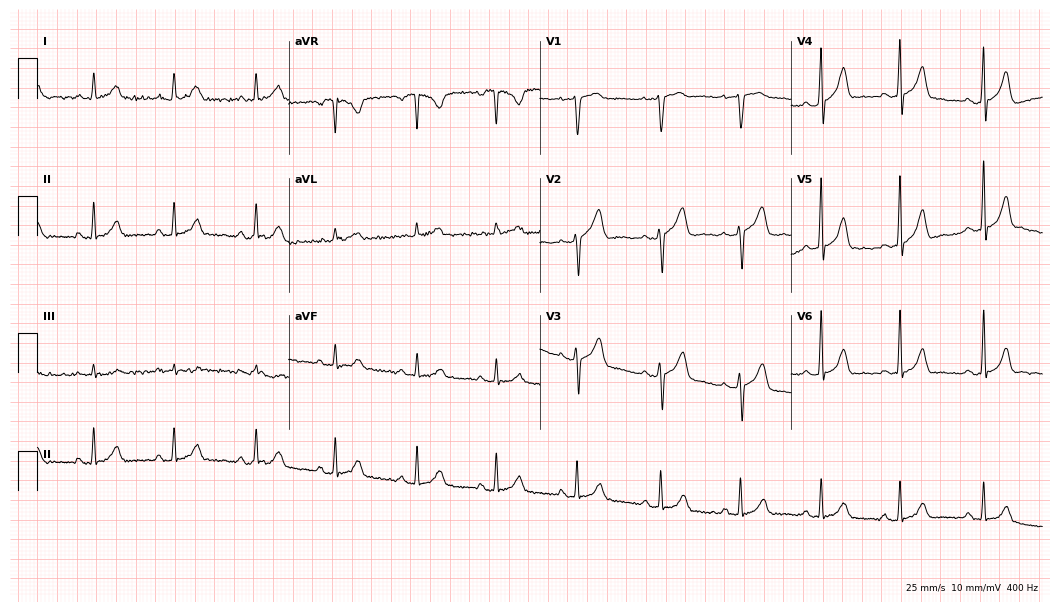
12-lead ECG (10.2-second recording at 400 Hz) from a 38-year-old woman. Labelled as a normal ECG.